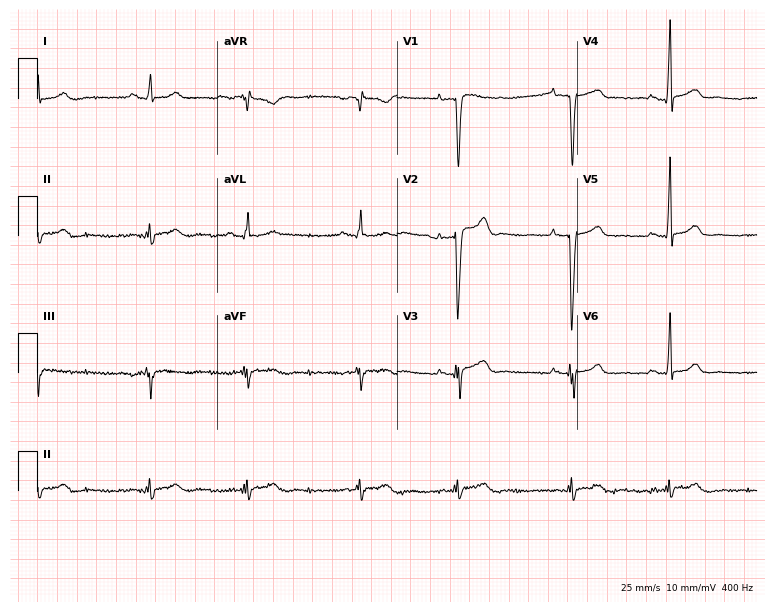
Standard 12-lead ECG recorded from a 42-year-old male patient. None of these six findings is recorded: first-degree AV block, right bundle branch block, left bundle branch block, sinus bradycardia, atrial fibrillation, sinus tachycardia.